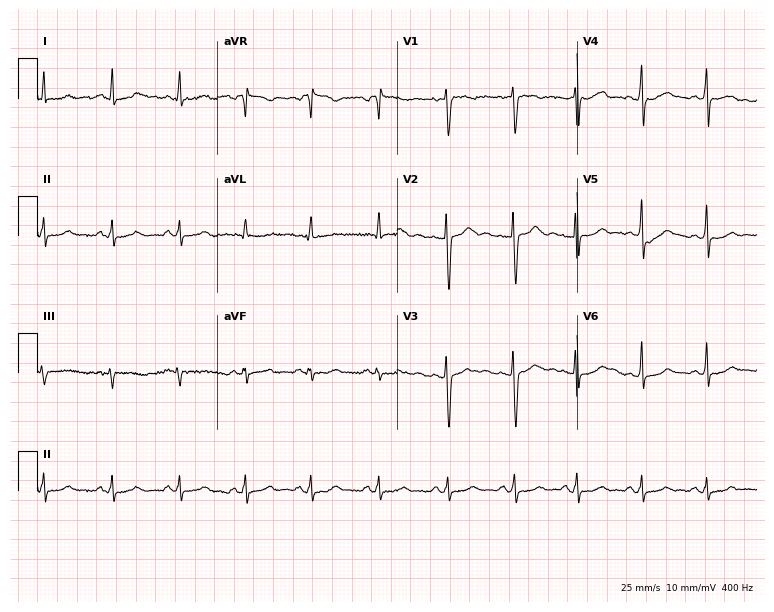
12-lead ECG (7.3-second recording at 400 Hz) from a 29-year-old woman. Labelled as a normal ECG.